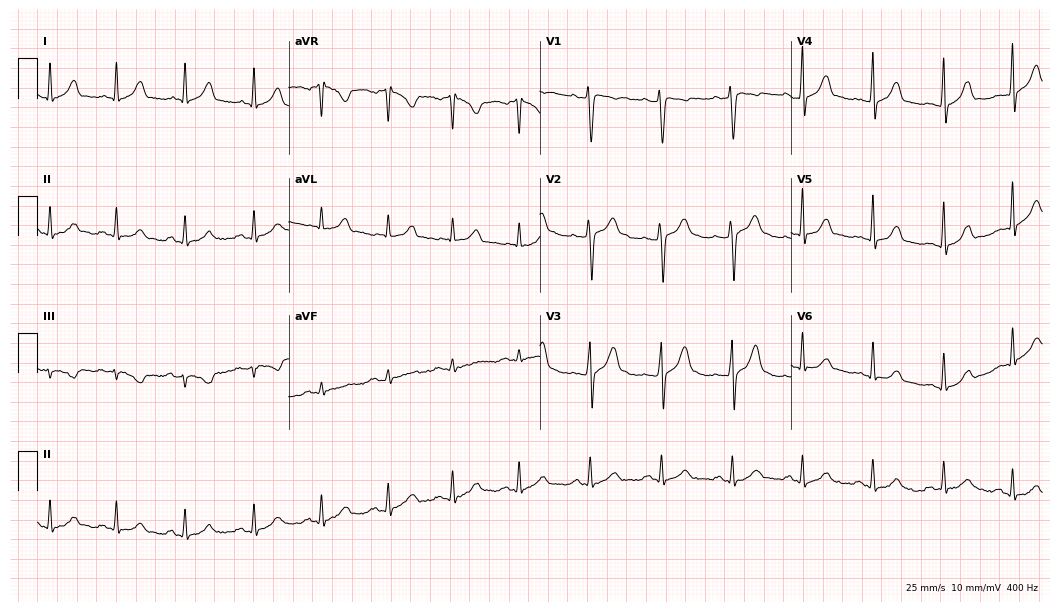
12-lead ECG from a male, 35 years old. Labelled as a normal ECG.